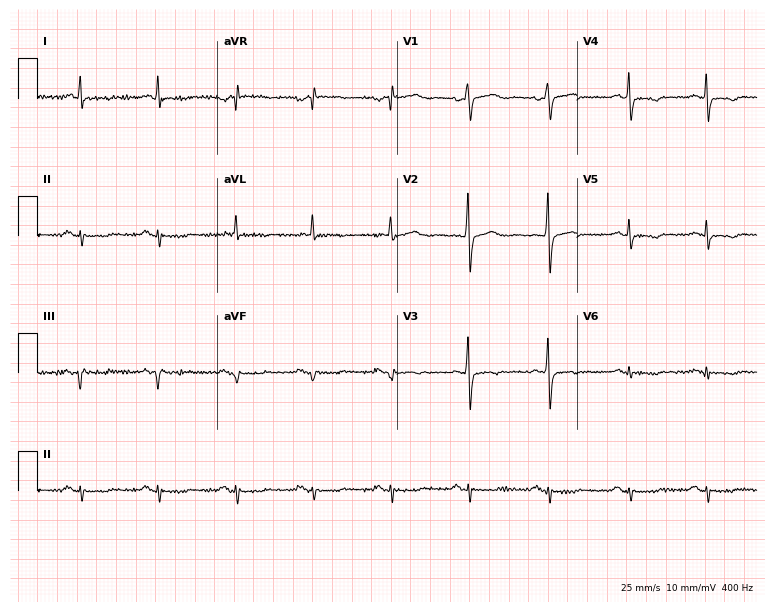
12-lead ECG from a 59-year-old man (7.3-second recording at 400 Hz). No first-degree AV block, right bundle branch block, left bundle branch block, sinus bradycardia, atrial fibrillation or sinus tachycardia recorded for this tracing.